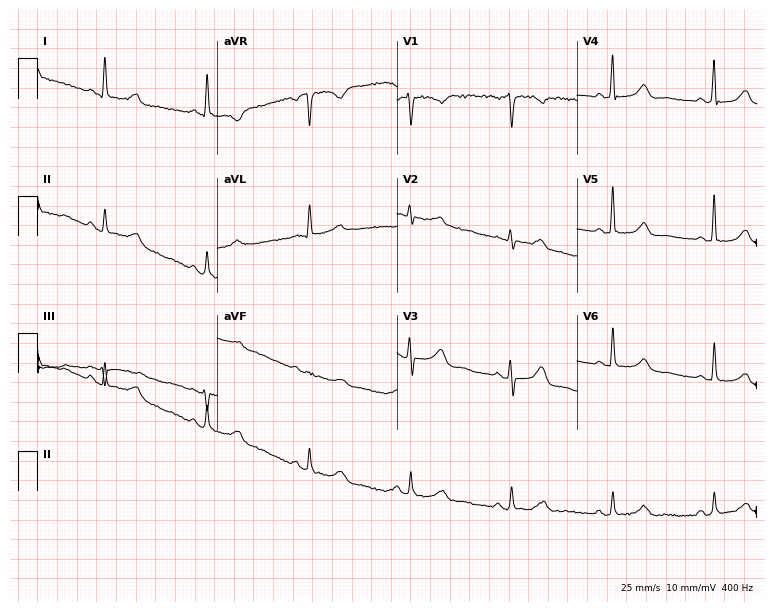
Resting 12-lead electrocardiogram. Patient: a 55-year-old female. None of these six findings is recorded: first-degree AV block, right bundle branch block (RBBB), left bundle branch block (LBBB), sinus bradycardia, atrial fibrillation (AF), sinus tachycardia.